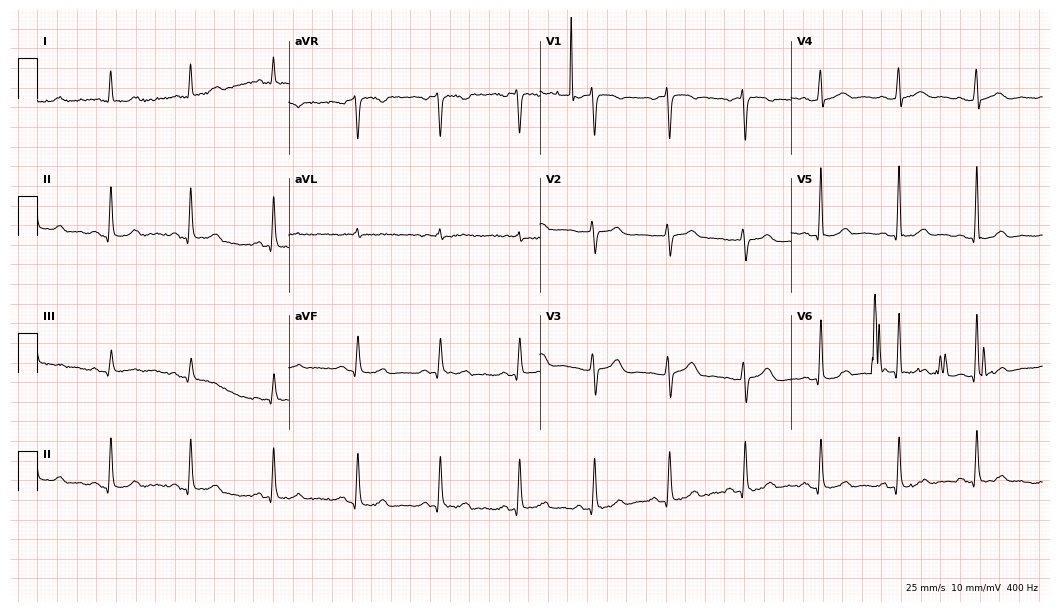
Resting 12-lead electrocardiogram (10.2-second recording at 400 Hz). Patient: a female, 47 years old. Read as a normal ECG.